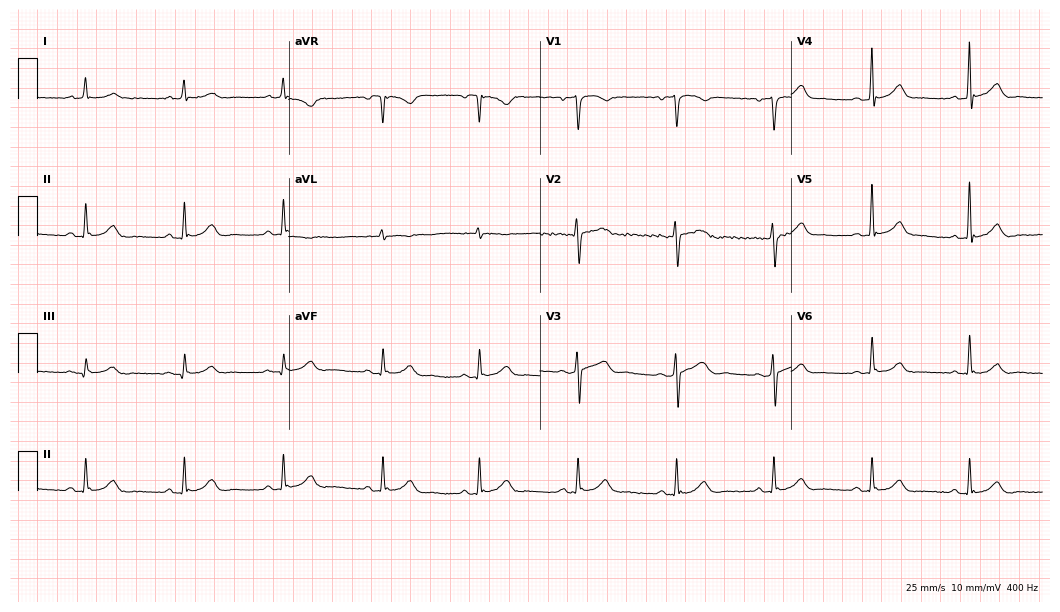
Electrocardiogram (10.2-second recording at 400 Hz), a 60-year-old male. Overall reading on record: normal ECG.